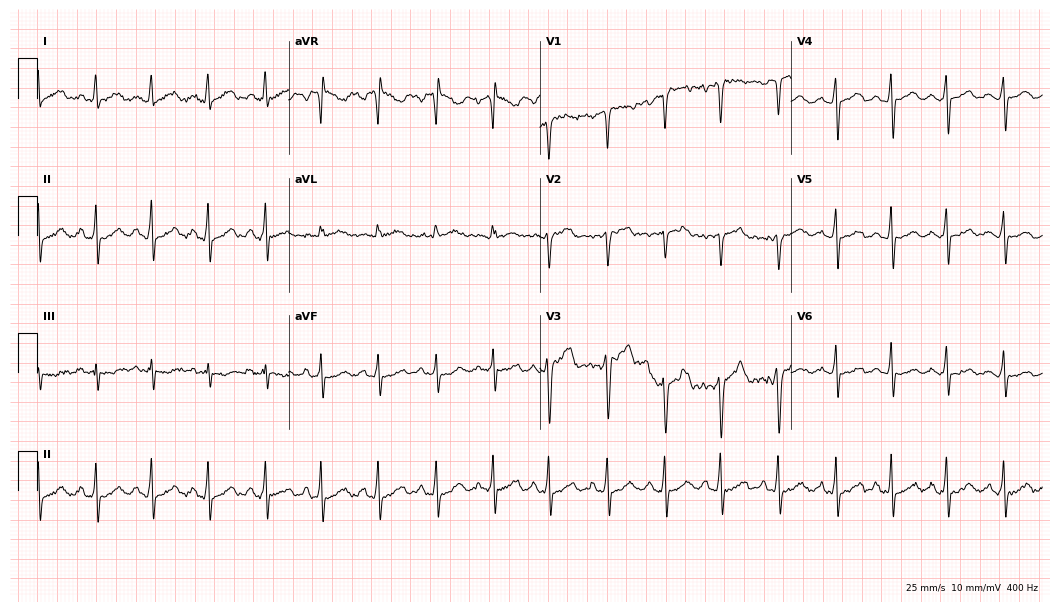
Standard 12-lead ECG recorded from a 29-year-old woman (10.2-second recording at 400 Hz). None of these six findings is recorded: first-degree AV block, right bundle branch block (RBBB), left bundle branch block (LBBB), sinus bradycardia, atrial fibrillation (AF), sinus tachycardia. Only these six findings were labelled.